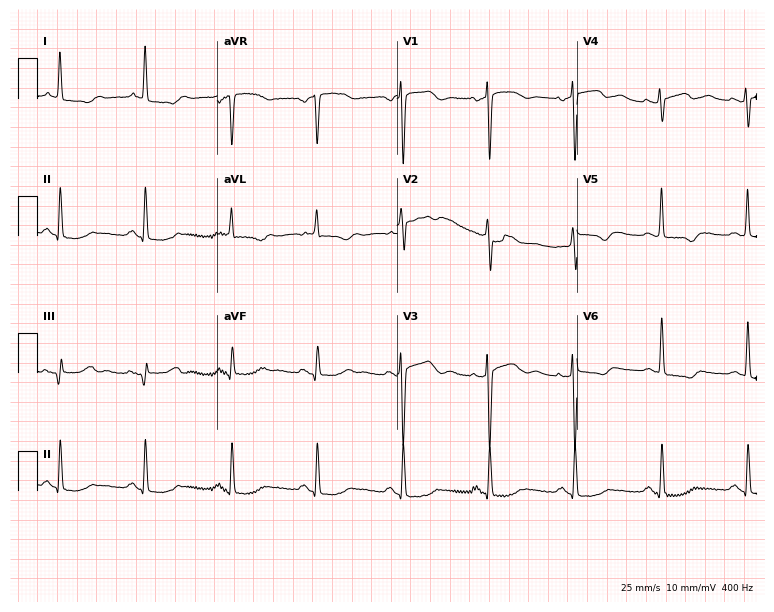
Resting 12-lead electrocardiogram (7.3-second recording at 400 Hz). Patient: an 81-year-old female. None of these six findings is recorded: first-degree AV block, right bundle branch block, left bundle branch block, sinus bradycardia, atrial fibrillation, sinus tachycardia.